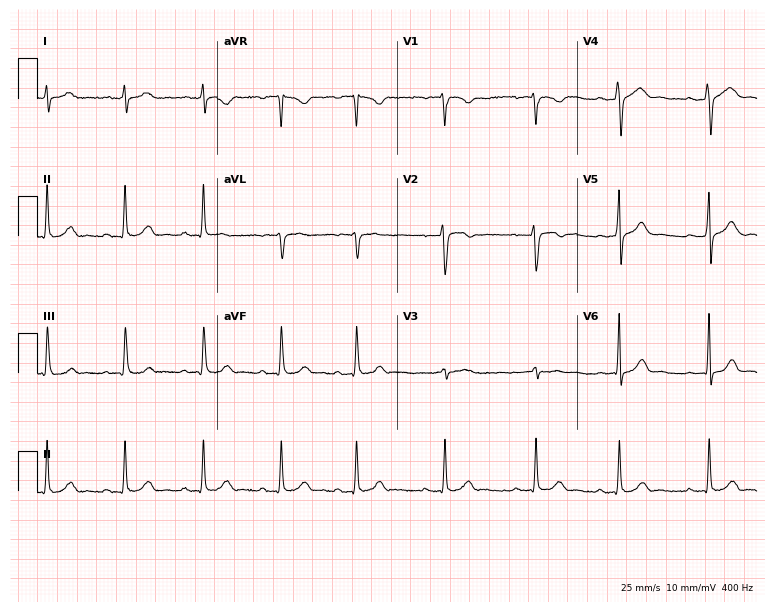
ECG — a female, 22 years old. Labelled as a normal ECG.